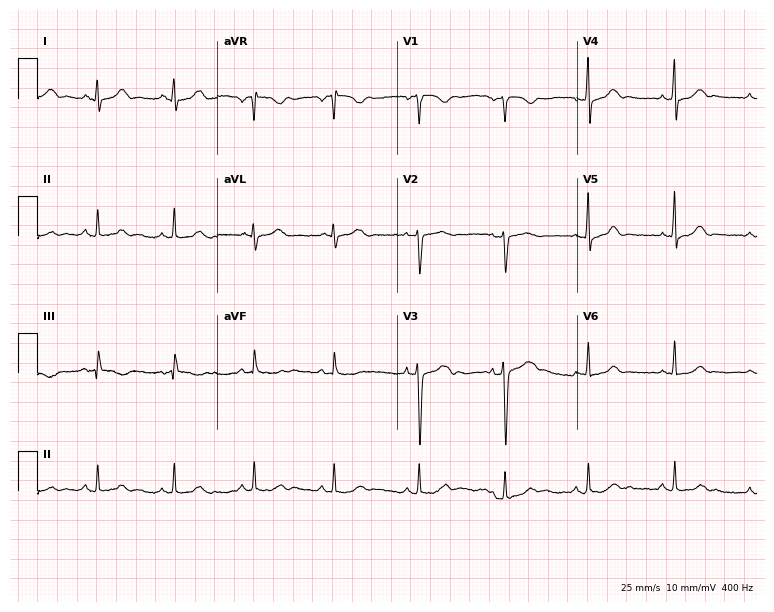
ECG (7.3-second recording at 400 Hz) — a female patient, 31 years old. Labelled as a normal ECG.